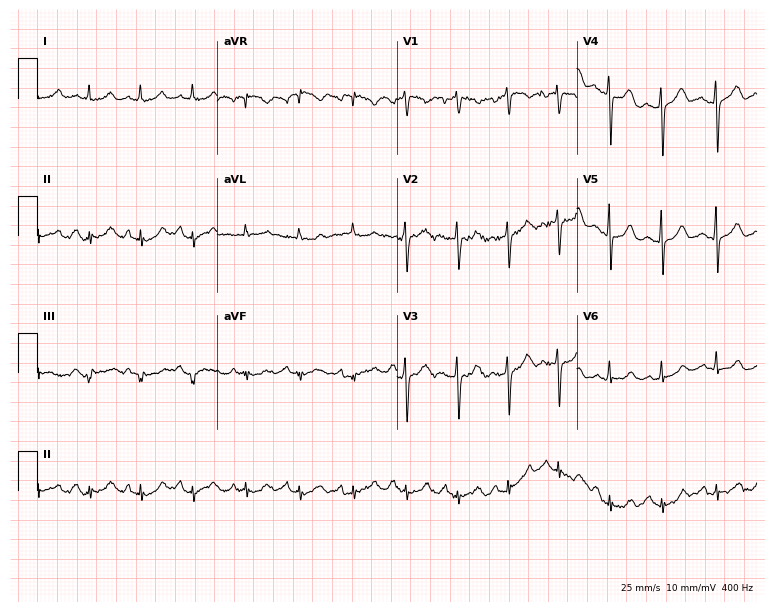
Standard 12-lead ECG recorded from a 43-year-old woman. The tracing shows sinus tachycardia (a sinus rate of 100 beats per minute or more).